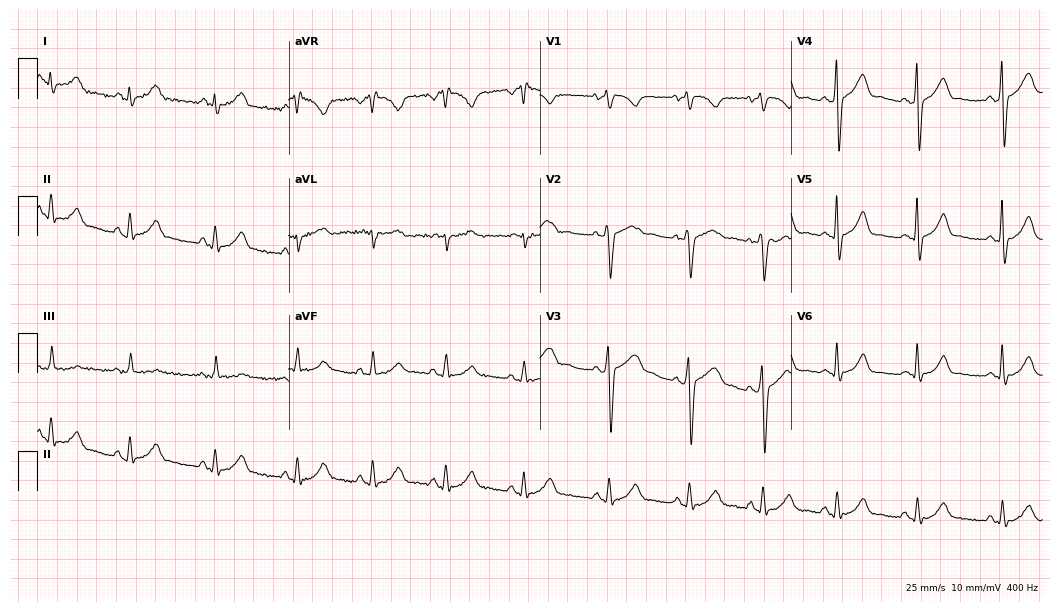
12-lead ECG (10.2-second recording at 400 Hz) from a 29-year-old male patient. Labelled as a normal ECG.